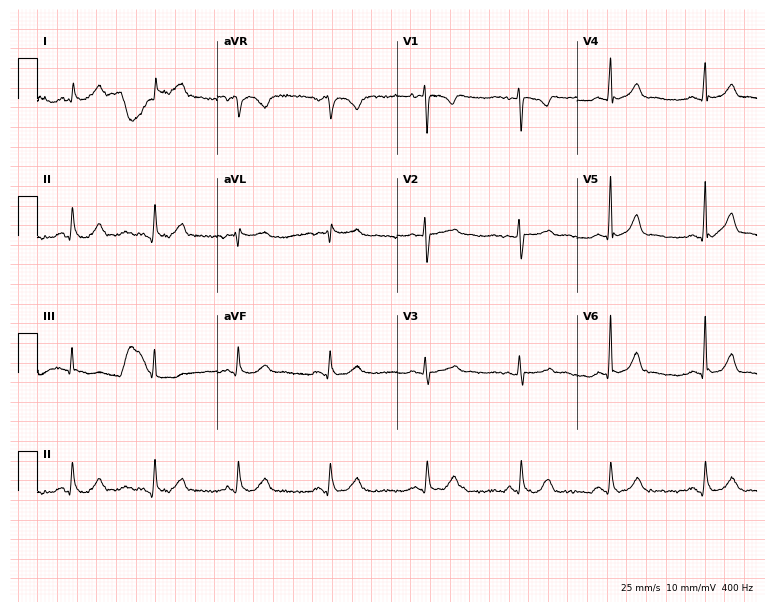
Standard 12-lead ECG recorded from a female patient, 38 years old. Read as a normal ECG.